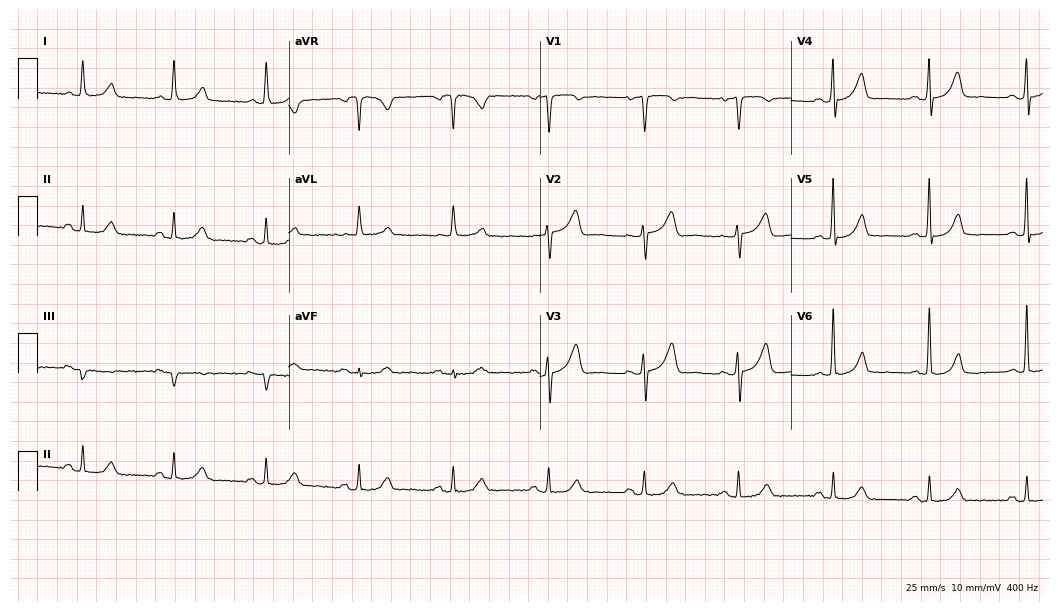
Resting 12-lead electrocardiogram (10.2-second recording at 400 Hz). Patient: a 75-year-old female. None of these six findings is recorded: first-degree AV block, right bundle branch block (RBBB), left bundle branch block (LBBB), sinus bradycardia, atrial fibrillation (AF), sinus tachycardia. Only these six findings were labelled.